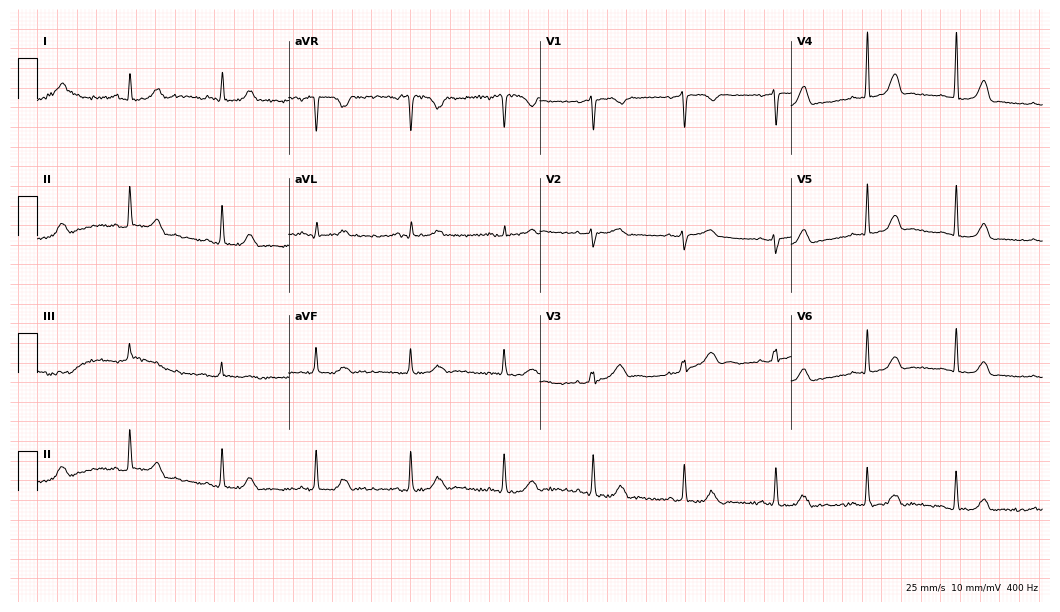
12-lead ECG from a 38-year-old female (10.2-second recording at 400 Hz). No first-degree AV block, right bundle branch block, left bundle branch block, sinus bradycardia, atrial fibrillation or sinus tachycardia recorded for this tracing.